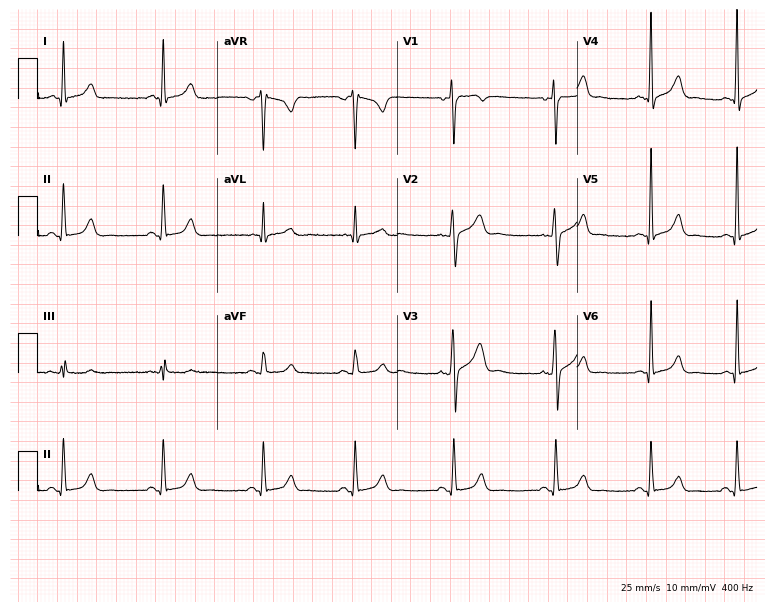
Resting 12-lead electrocardiogram. Patient: a 42-year-old male. Read as a normal ECG.